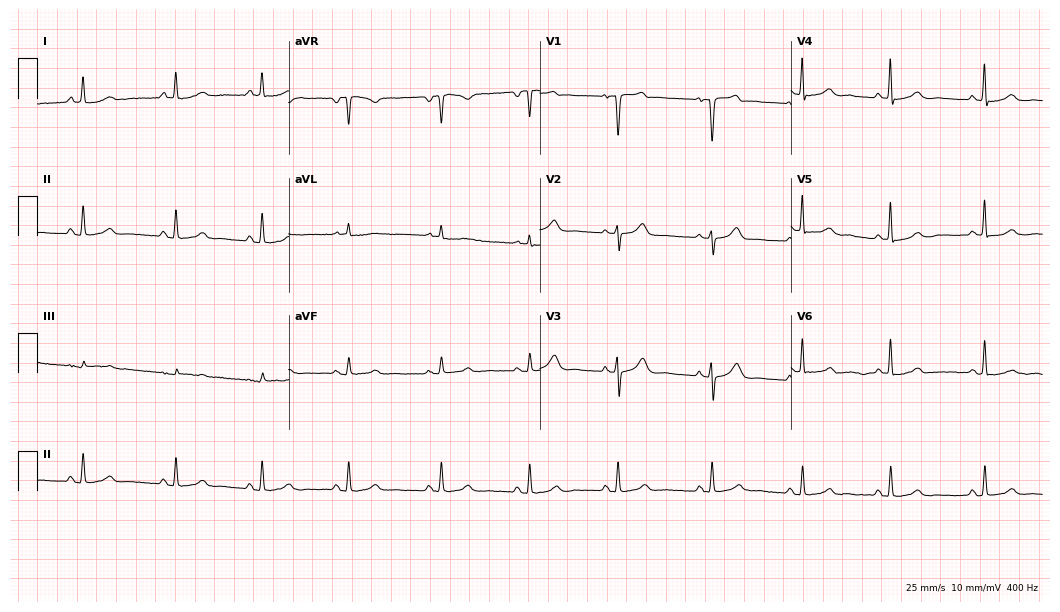
Electrocardiogram, a 59-year-old female patient. Overall reading on record: normal ECG.